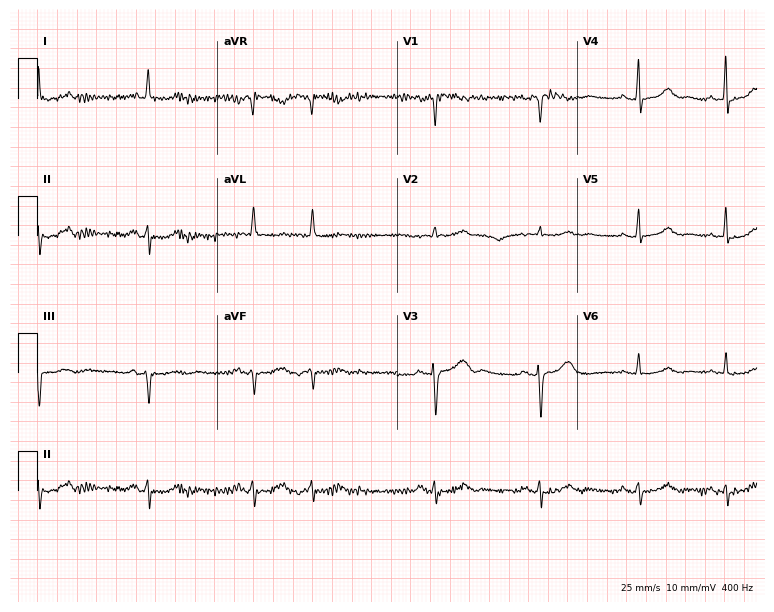
Electrocardiogram (7.3-second recording at 400 Hz), a 78-year-old female patient. Of the six screened findings (first-degree AV block, right bundle branch block (RBBB), left bundle branch block (LBBB), sinus bradycardia, atrial fibrillation (AF), sinus tachycardia), none is recorded.